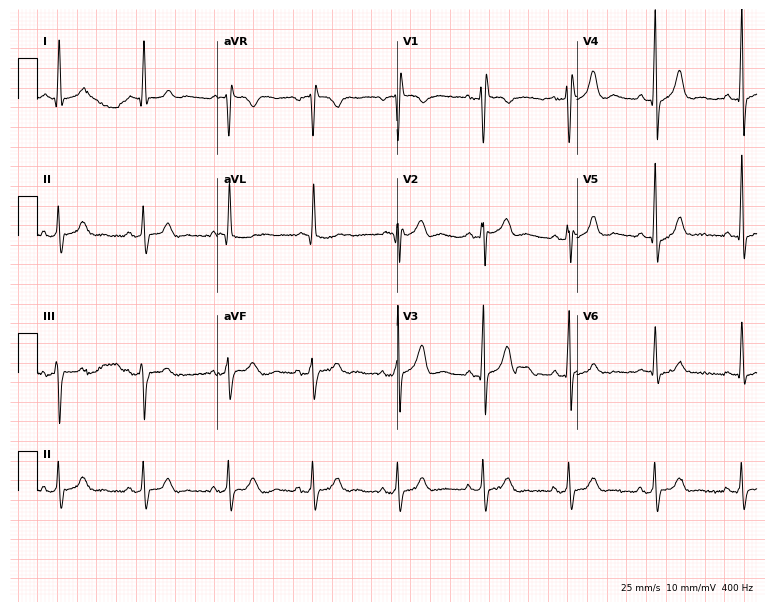
Resting 12-lead electrocardiogram. Patient: an 80-year-old male. None of these six findings is recorded: first-degree AV block, right bundle branch block, left bundle branch block, sinus bradycardia, atrial fibrillation, sinus tachycardia.